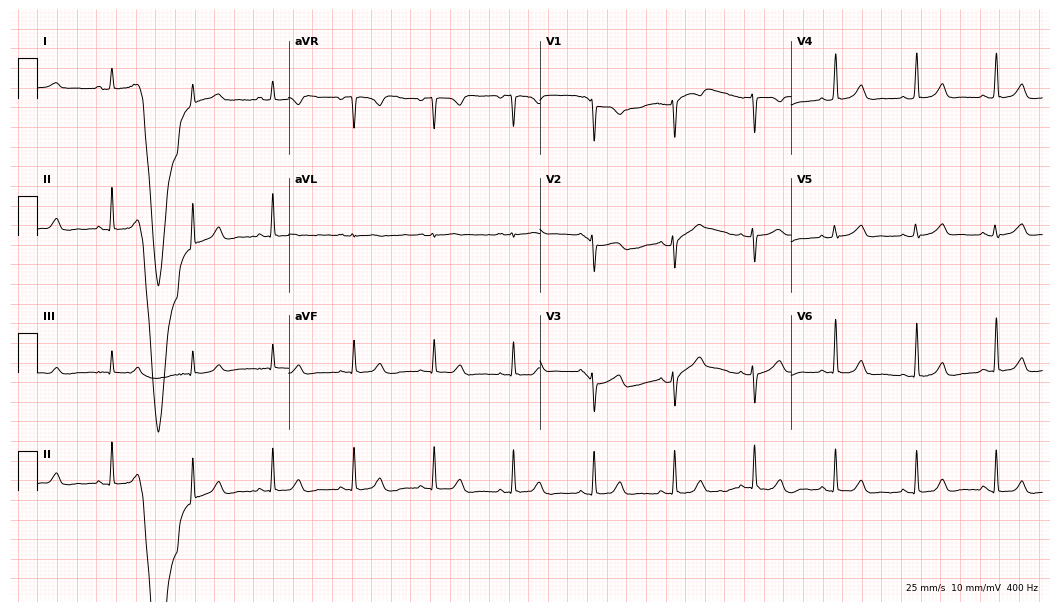
12-lead ECG from a 42-year-old female. Labelled as a normal ECG.